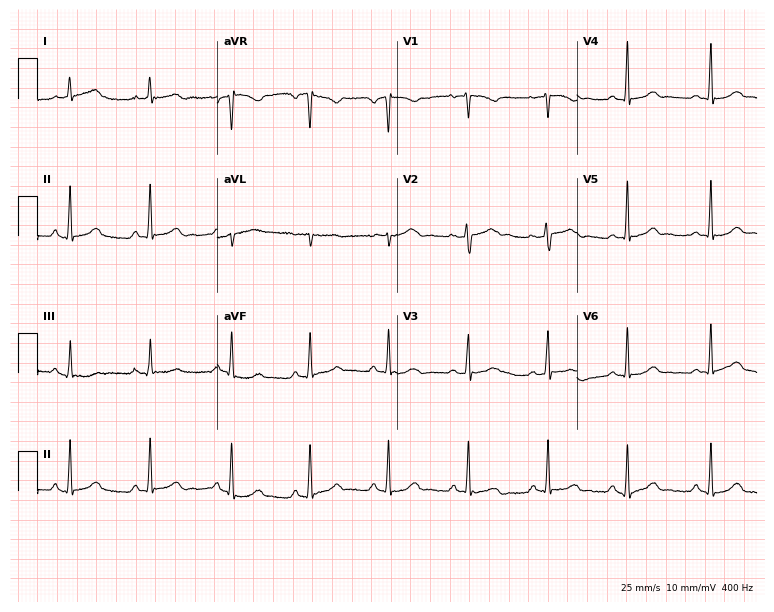
Electrocardiogram (7.3-second recording at 400 Hz), a woman, 47 years old. Overall reading on record: normal ECG.